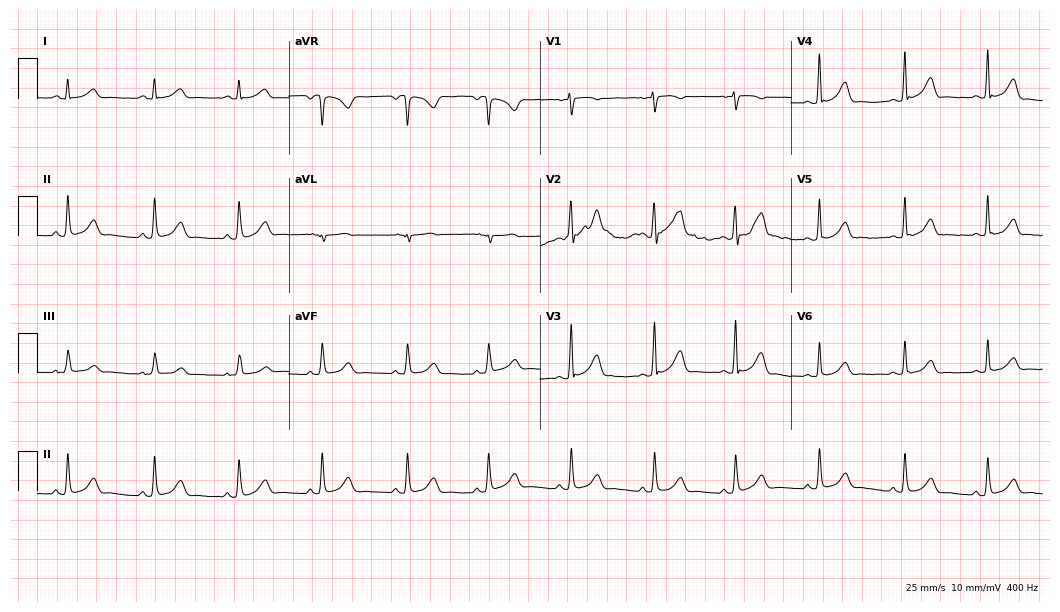
Electrocardiogram (10.2-second recording at 400 Hz), a 22-year-old female patient. Of the six screened findings (first-degree AV block, right bundle branch block, left bundle branch block, sinus bradycardia, atrial fibrillation, sinus tachycardia), none is recorded. Findings outside these six are not listed.